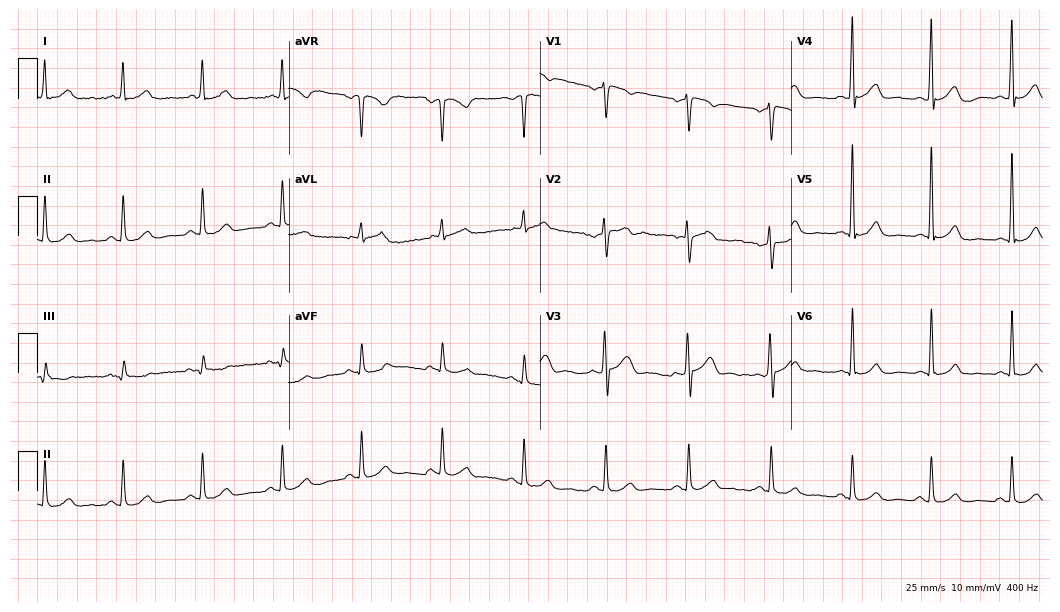
12-lead ECG from a male, 57 years old. Labelled as a normal ECG.